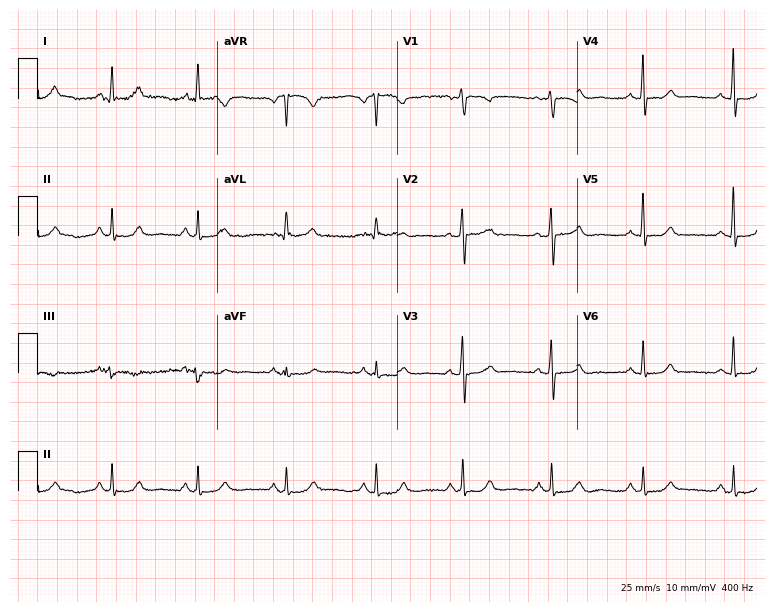
Resting 12-lead electrocardiogram. Patient: a 53-year-old female. None of these six findings is recorded: first-degree AV block, right bundle branch block, left bundle branch block, sinus bradycardia, atrial fibrillation, sinus tachycardia.